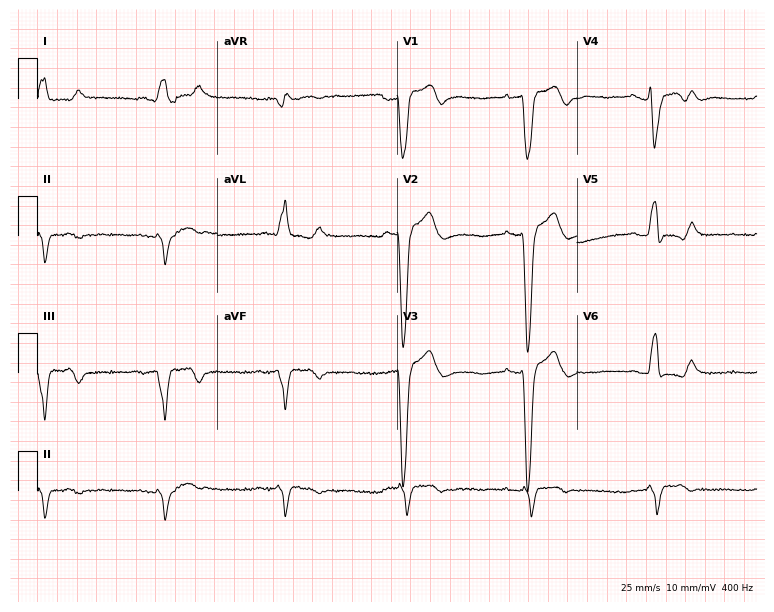
ECG — a male, 84 years old. Findings include left bundle branch block, sinus bradycardia (a sinus rate of 50 beats per minute or less).